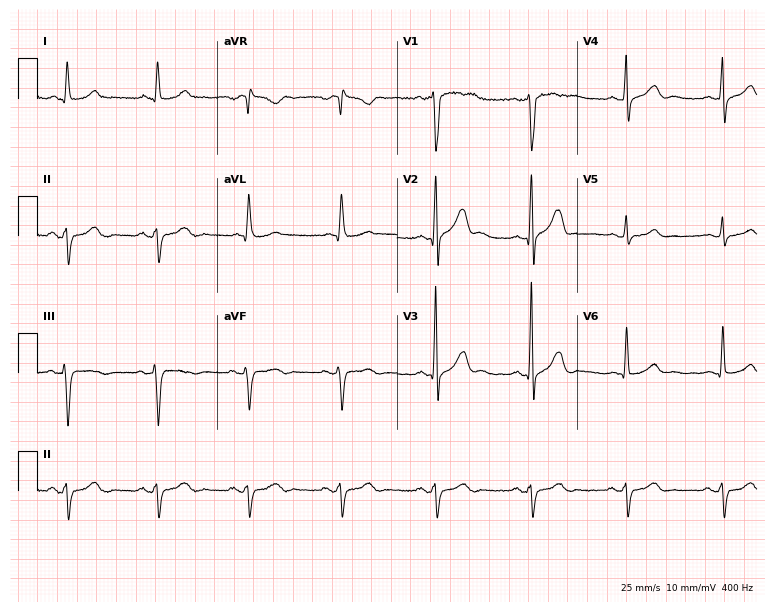
Resting 12-lead electrocardiogram (7.3-second recording at 400 Hz). Patient: a man, 61 years old. None of these six findings is recorded: first-degree AV block, right bundle branch block, left bundle branch block, sinus bradycardia, atrial fibrillation, sinus tachycardia.